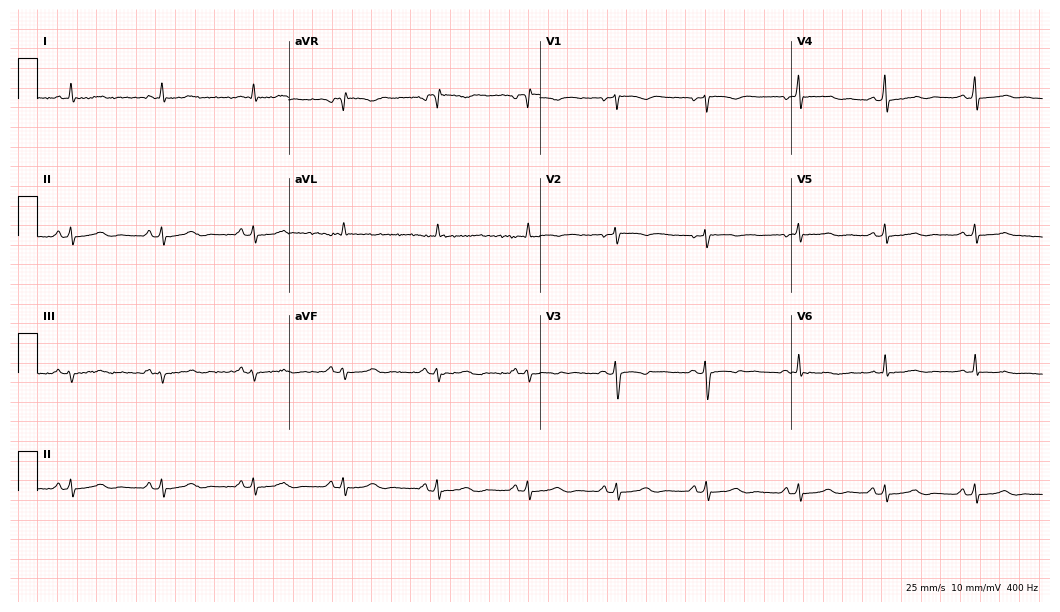
ECG — a female, 41 years old. Screened for six findings — first-degree AV block, right bundle branch block, left bundle branch block, sinus bradycardia, atrial fibrillation, sinus tachycardia — none is recorded. Only these six findings were labelled.